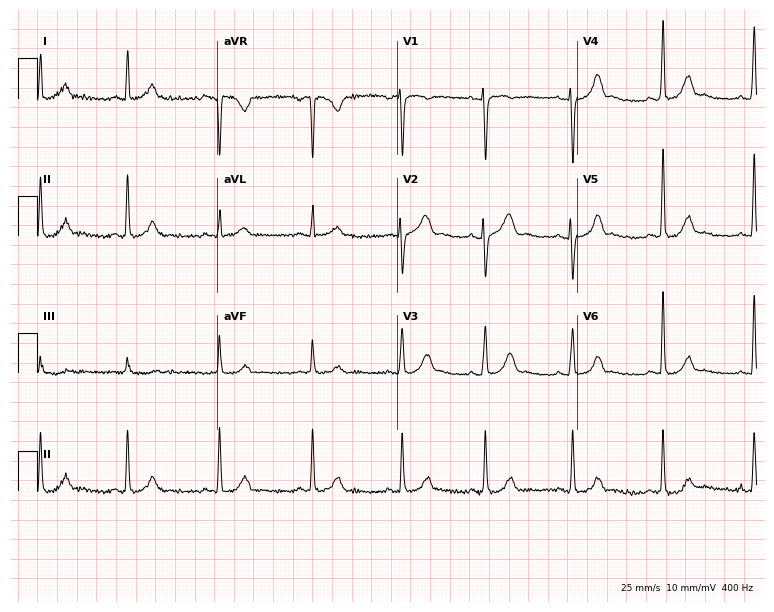
12-lead ECG (7.3-second recording at 400 Hz) from a 33-year-old female. Labelled as a normal ECG.